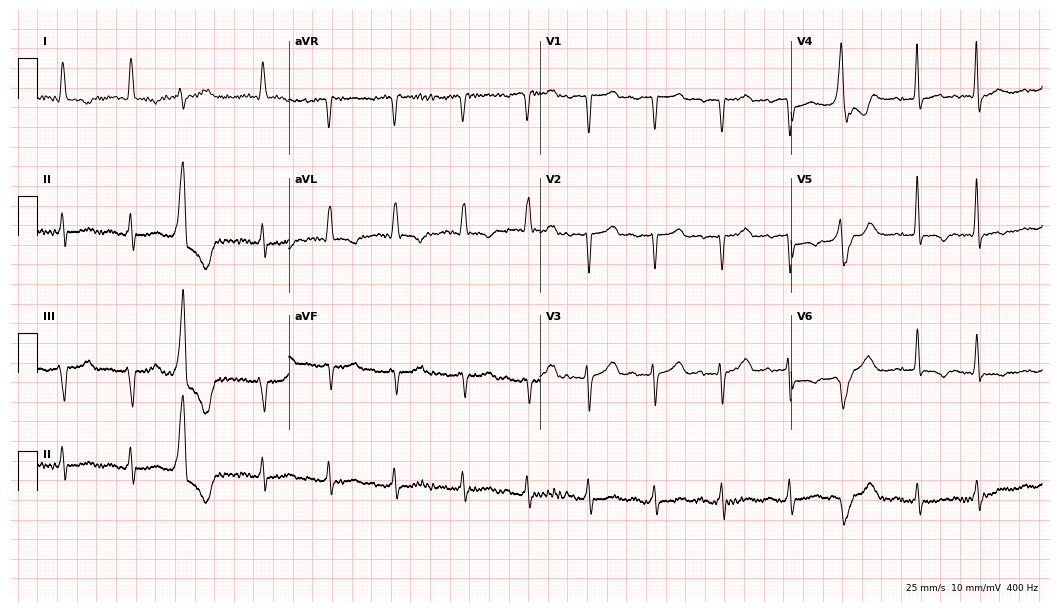
Electrocardiogram (10.2-second recording at 400 Hz), an 82-year-old female. Overall reading on record: normal ECG.